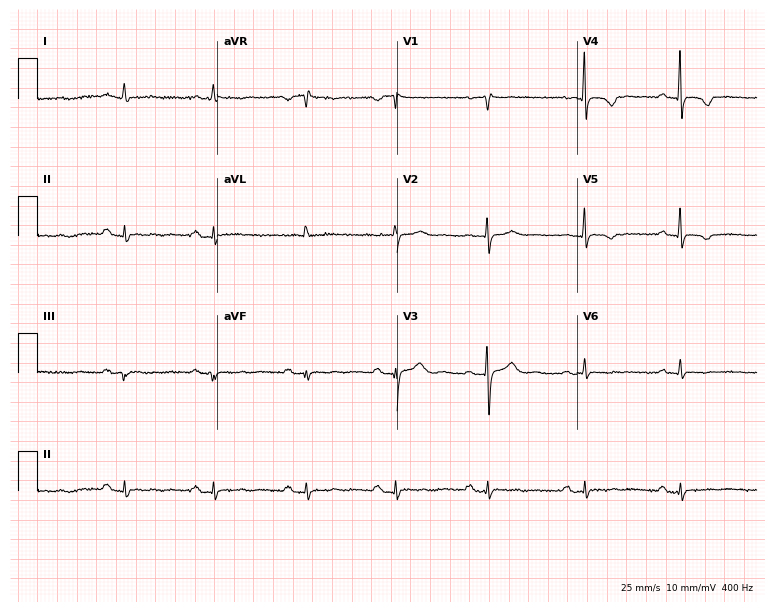
Electrocardiogram (7.3-second recording at 400 Hz), a 52-year-old female. Of the six screened findings (first-degree AV block, right bundle branch block, left bundle branch block, sinus bradycardia, atrial fibrillation, sinus tachycardia), none is recorded. Other findings, if any, are not listed.